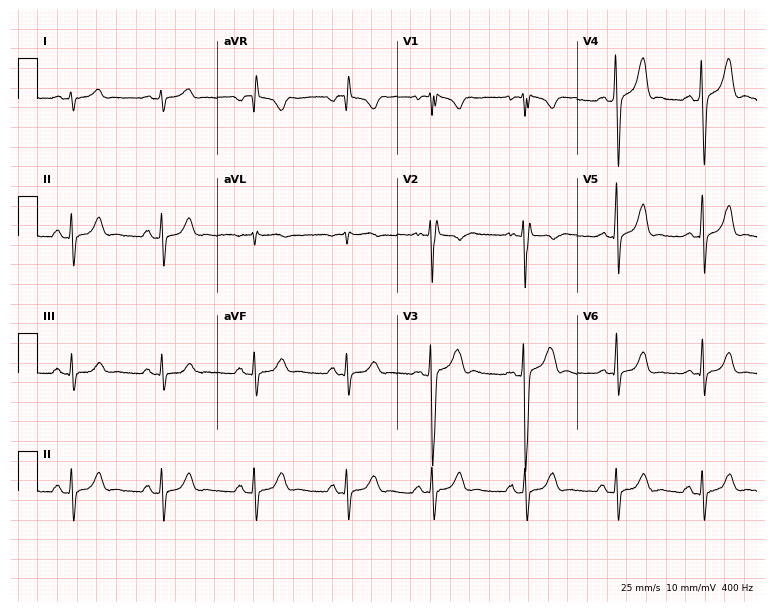
Standard 12-lead ECG recorded from a 26-year-old male. None of these six findings is recorded: first-degree AV block, right bundle branch block (RBBB), left bundle branch block (LBBB), sinus bradycardia, atrial fibrillation (AF), sinus tachycardia.